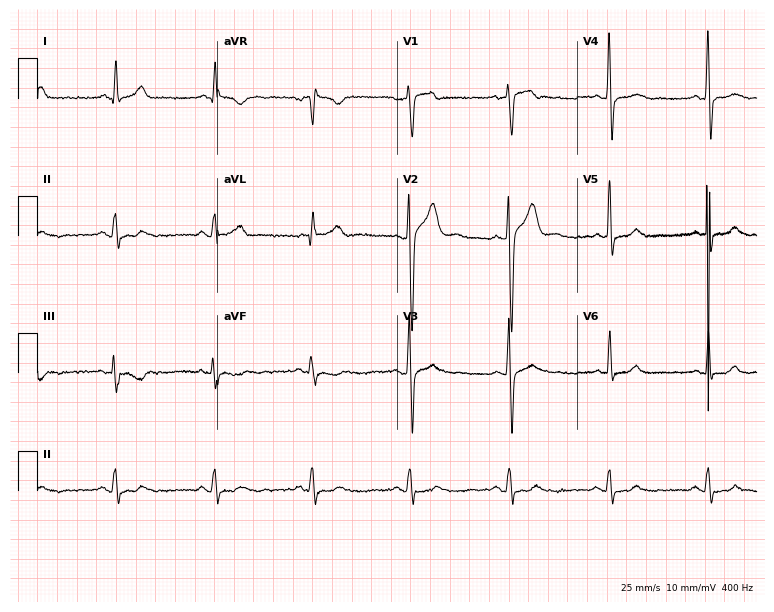
Electrocardiogram (7.3-second recording at 400 Hz), a male, 44 years old. Overall reading on record: normal ECG.